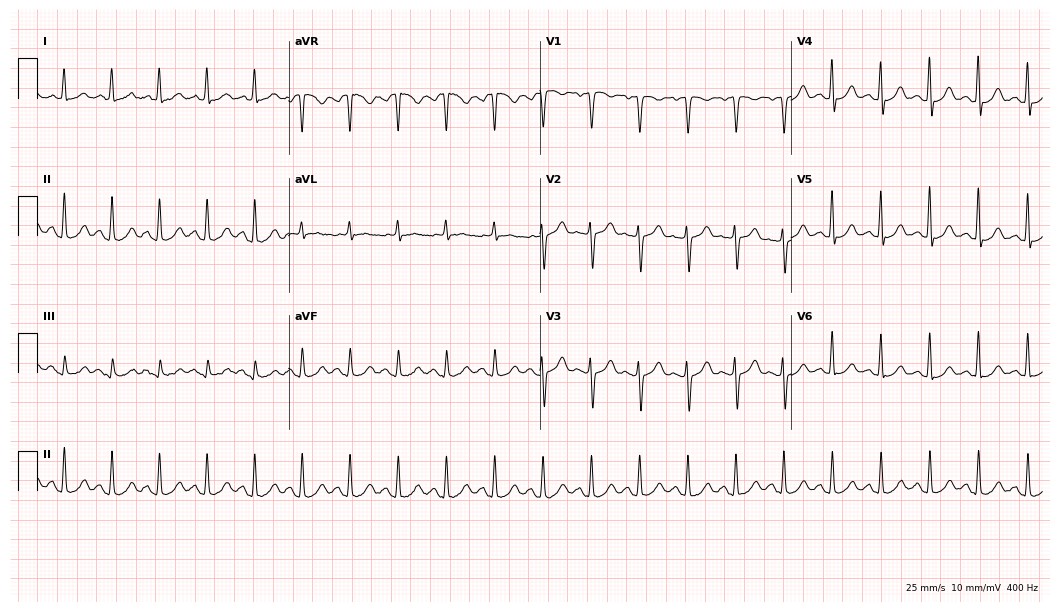
Standard 12-lead ECG recorded from a 39-year-old woman. The tracing shows sinus tachycardia (a sinus rate of 100 beats per minute or more).